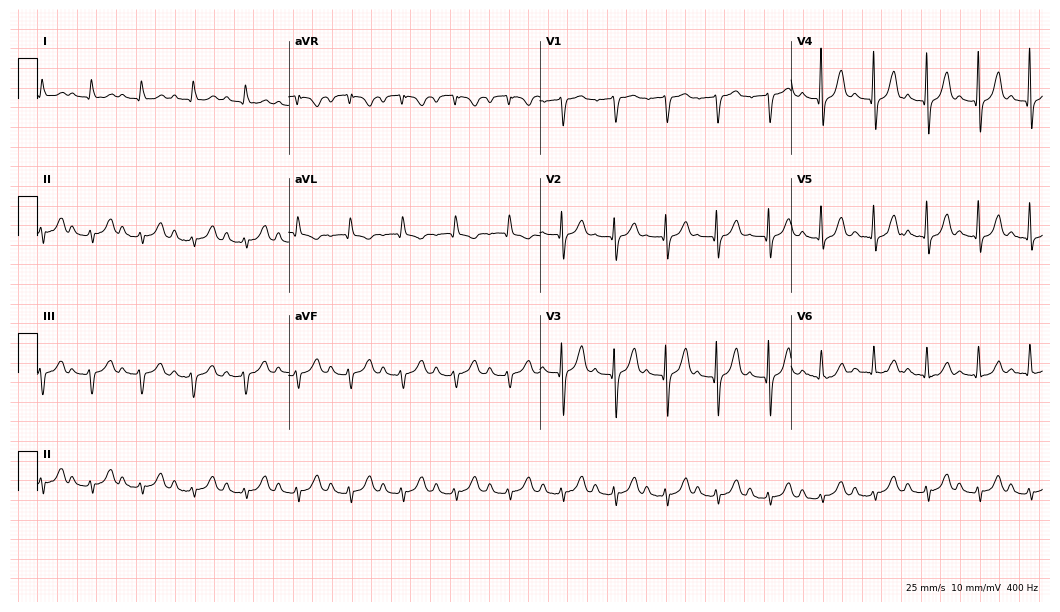
Resting 12-lead electrocardiogram (10.2-second recording at 400 Hz). Patient: a male, 82 years old. The tracing shows first-degree AV block, sinus tachycardia (a sinus rate of 100 beats per minute or more).